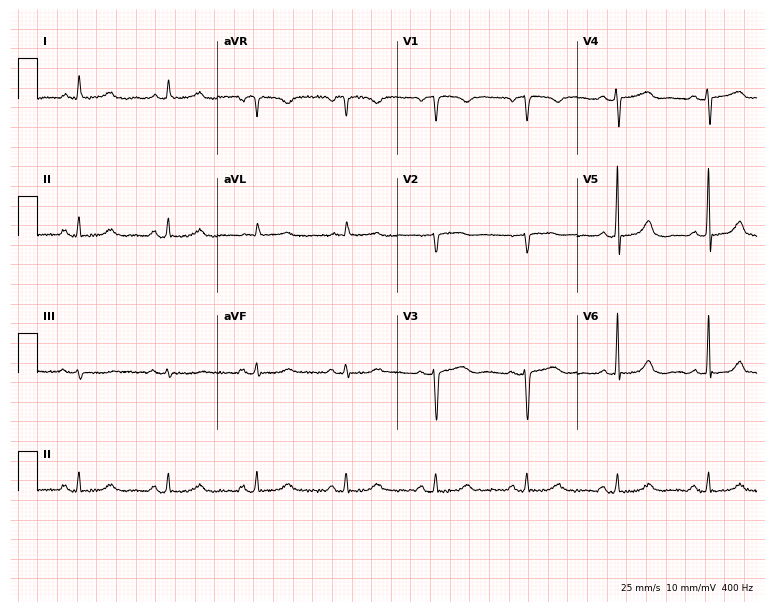
Resting 12-lead electrocardiogram. Patient: a woman, 70 years old. None of these six findings is recorded: first-degree AV block, right bundle branch block, left bundle branch block, sinus bradycardia, atrial fibrillation, sinus tachycardia.